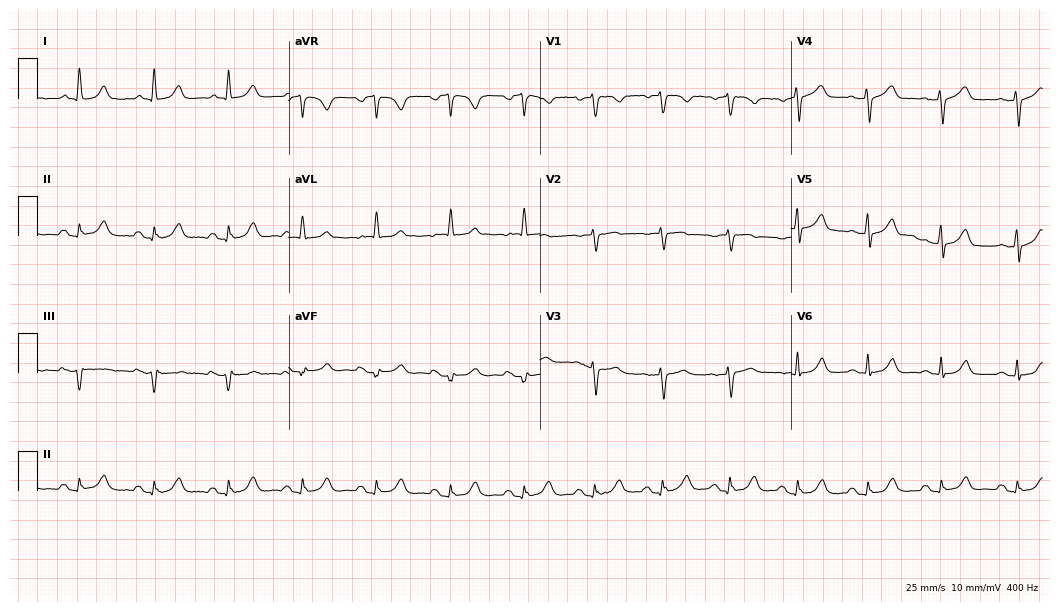
Electrocardiogram (10.2-second recording at 400 Hz), a 72-year-old woman. Overall reading on record: normal ECG.